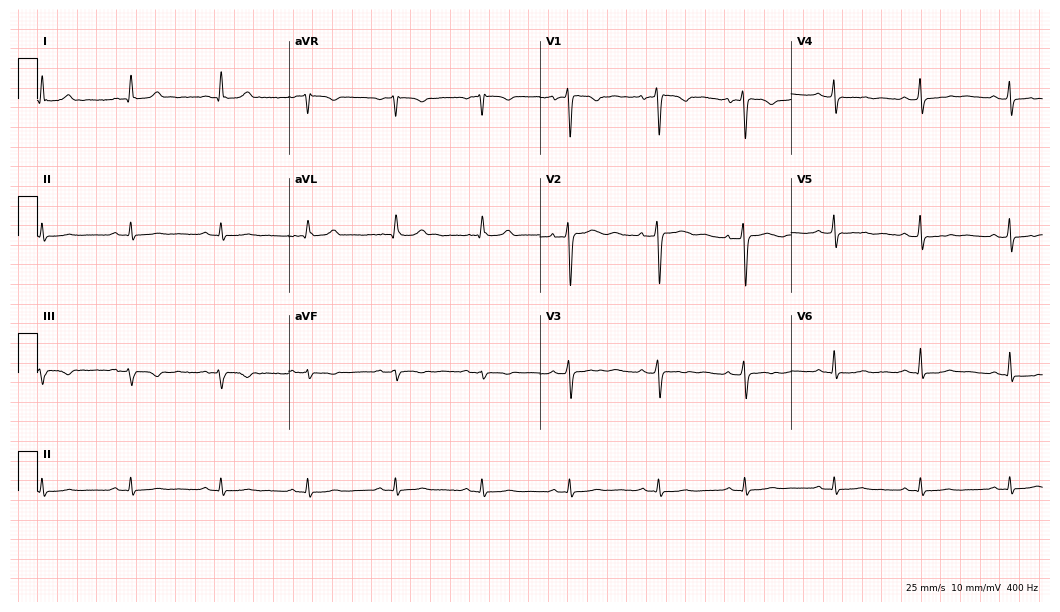
Electrocardiogram (10.2-second recording at 400 Hz), a 54-year-old woman. Of the six screened findings (first-degree AV block, right bundle branch block, left bundle branch block, sinus bradycardia, atrial fibrillation, sinus tachycardia), none is recorded.